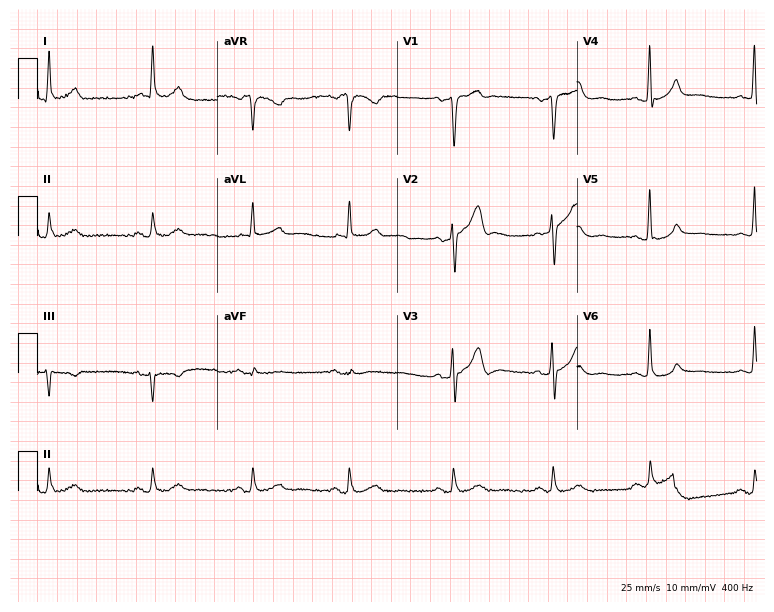
Resting 12-lead electrocardiogram. Patient: a male, 69 years old. Read as a normal ECG.